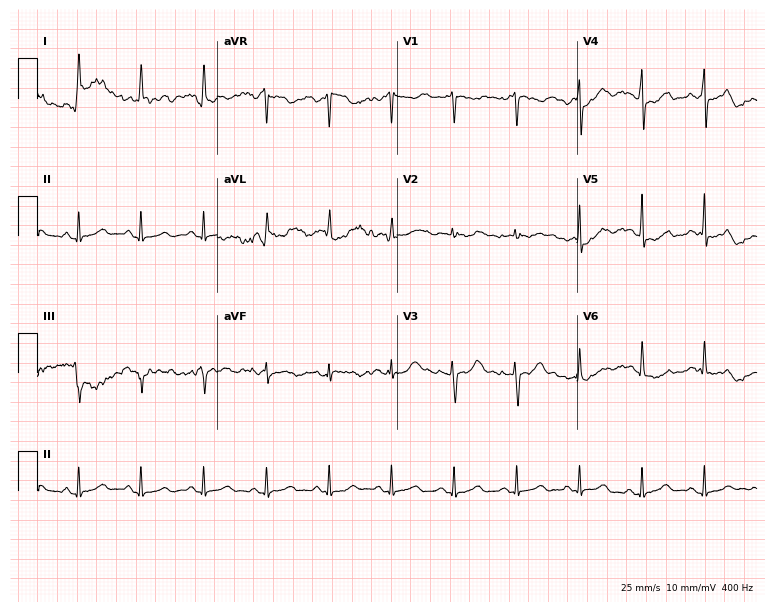
12-lead ECG from a 61-year-old female patient. Screened for six findings — first-degree AV block, right bundle branch block (RBBB), left bundle branch block (LBBB), sinus bradycardia, atrial fibrillation (AF), sinus tachycardia — none is recorded.